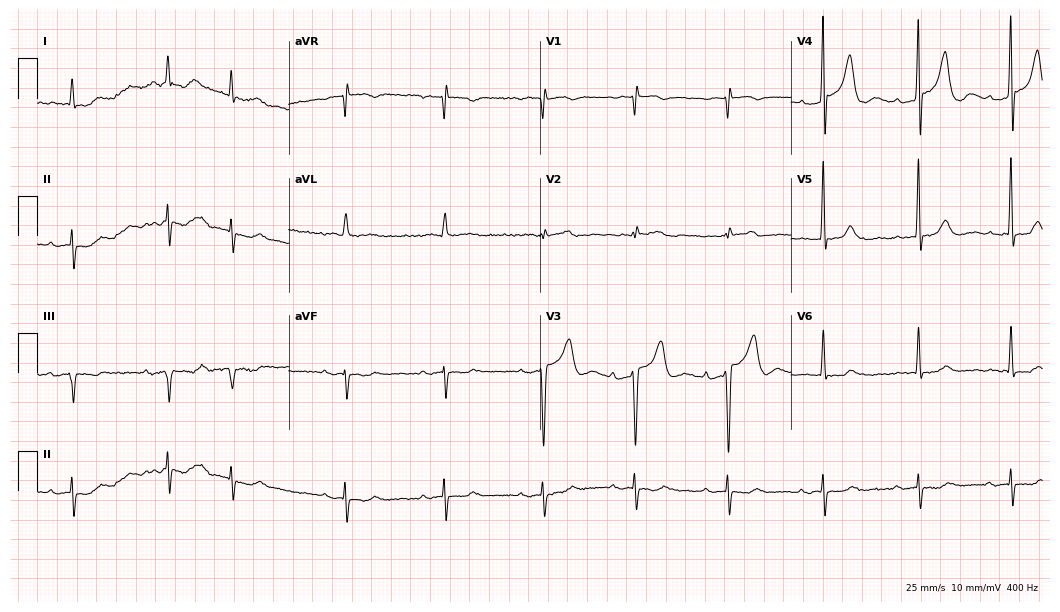
ECG (10.2-second recording at 400 Hz) — an 82-year-old male. Findings include first-degree AV block.